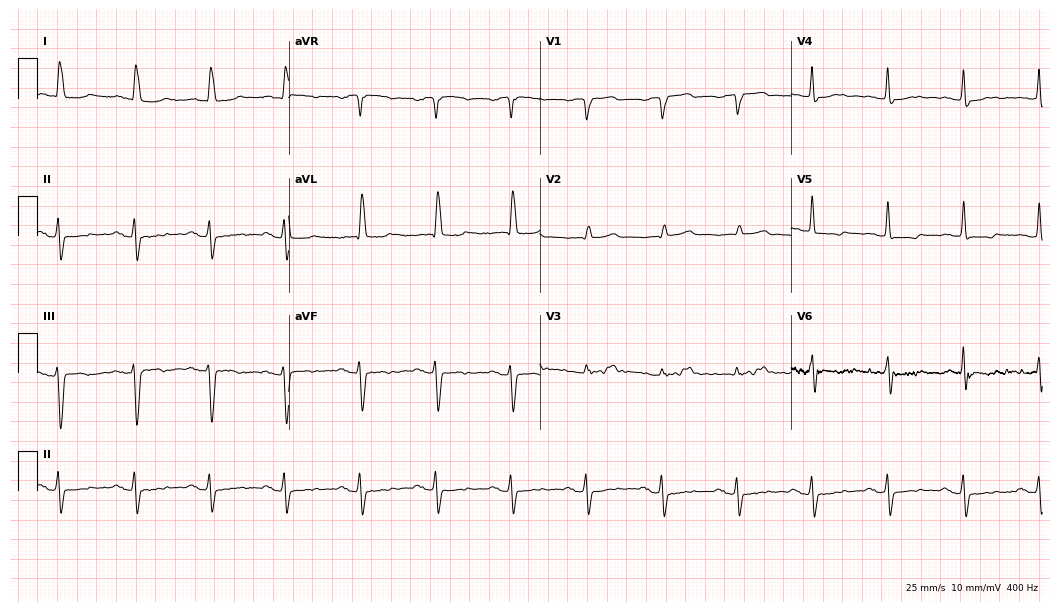
Electrocardiogram (10.2-second recording at 400 Hz), an 82-year-old woman. Of the six screened findings (first-degree AV block, right bundle branch block (RBBB), left bundle branch block (LBBB), sinus bradycardia, atrial fibrillation (AF), sinus tachycardia), none is recorded. Only these six findings were labelled.